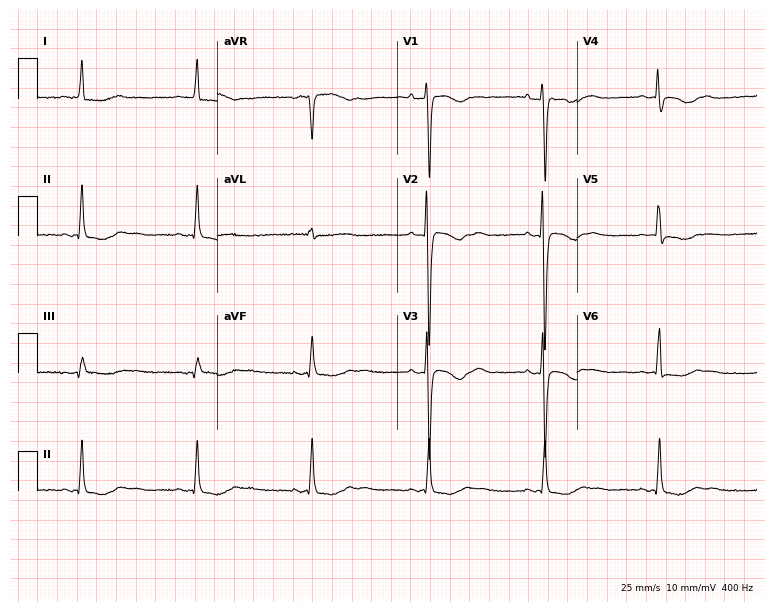
12-lead ECG (7.3-second recording at 400 Hz) from a female patient, 53 years old. Screened for six findings — first-degree AV block, right bundle branch block, left bundle branch block, sinus bradycardia, atrial fibrillation, sinus tachycardia — none is recorded. Findings outside these six are not listed.